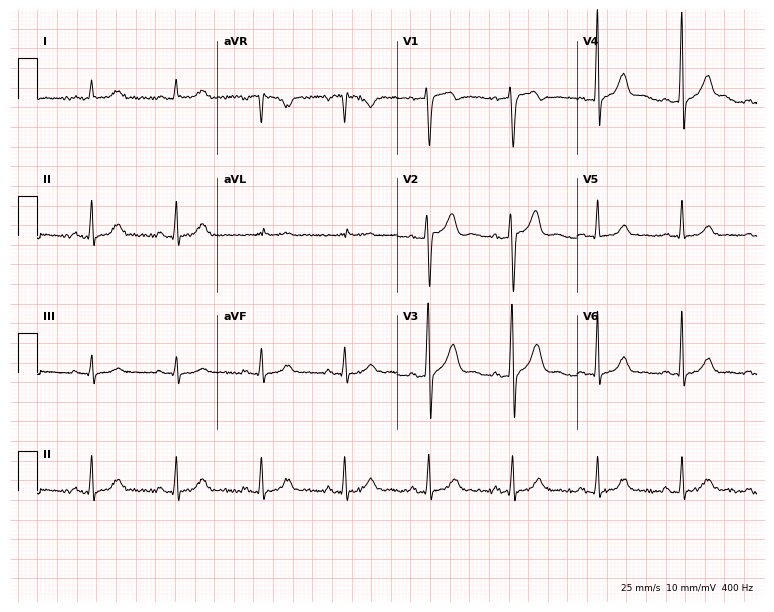
Standard 12-lead ECG recorded from a 47-year-old male patient. Read as a normal ECG.